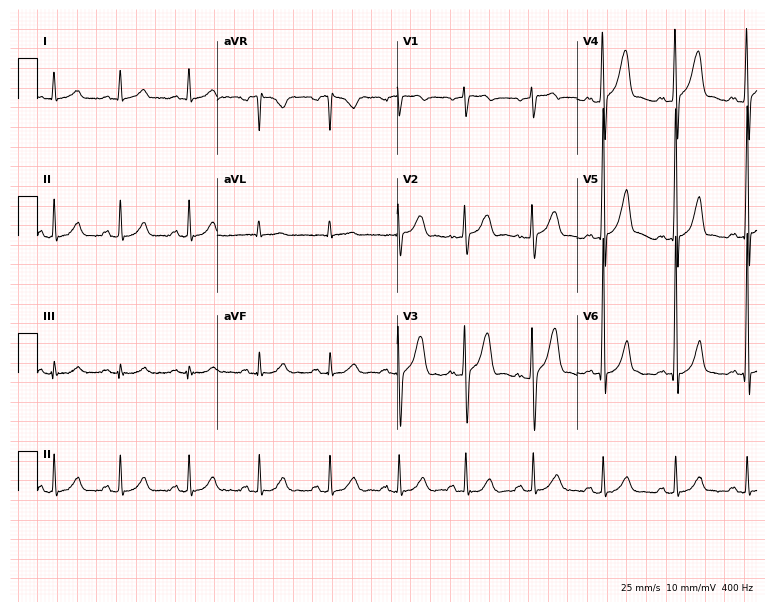
Electrocardiogram (7.3-second recording at 400 Hz), a male patient, 39 years old. Of the six screened findings (first-degree AV block, right bundle branch block, left bundle branch block, sinus bradycardia, atrial fibrillation, sinus tachycardia), none is recorded.